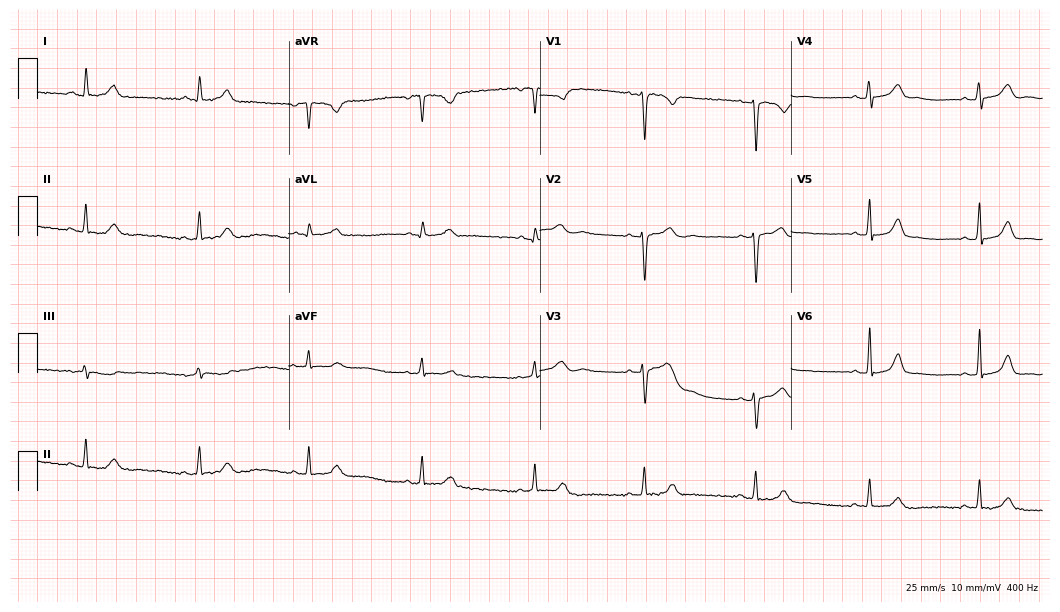
12-lead ECG from a 28-year-old female. Recorded interpretation: within normal limits.